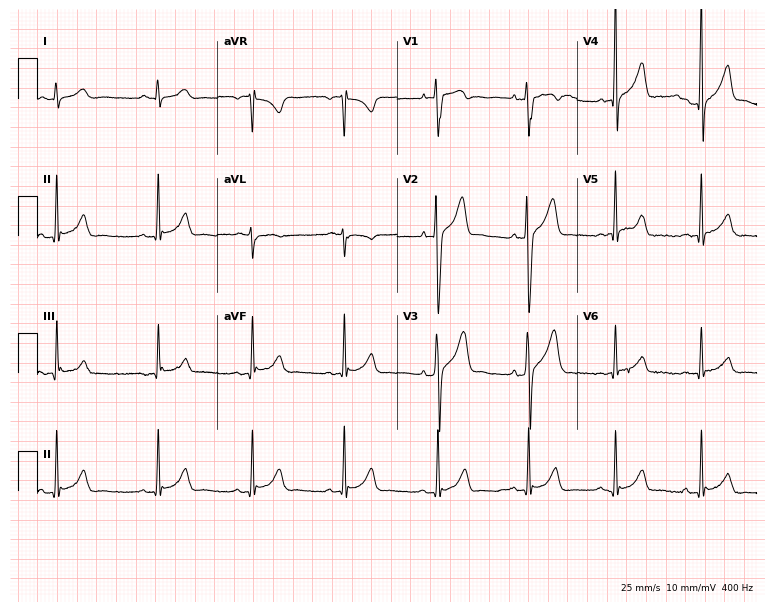
12-lead ECG from a 25-year-old male patient. Screened for six findings — first-degree AV block, right bundle branch block (RBBB), left bundle branch block (LBBB), sinus bradycardia, atrial fibrillation (AF), sinus tachycardia — none is recorded.